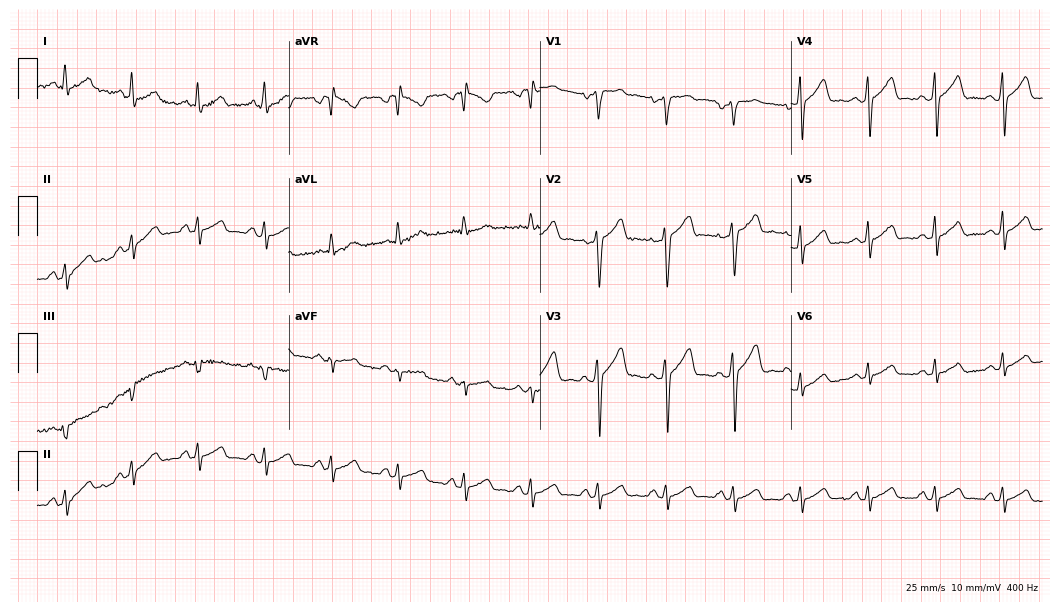
Electrocardiogram, a male patient, 31 years old. Overall reading on record: normal ECG.